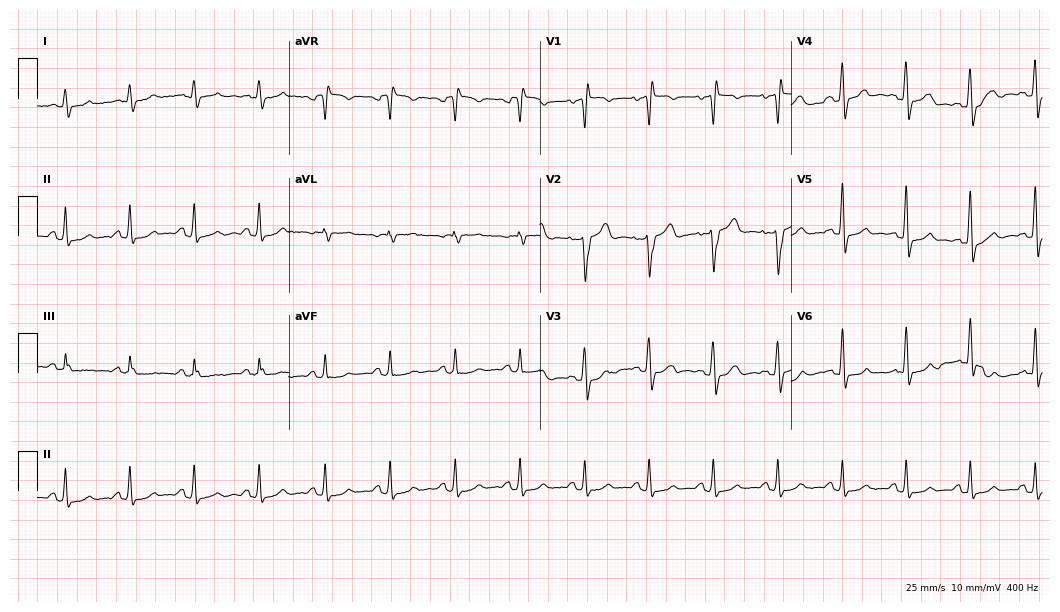
12-lead ECG from a 73-year-old male patient. No first-degree AV block, right bundle branch block (RBBB), left bundle branch block (LBBB), sinus bradycardia, atrial fibrillation (AF) or sinus tachycardia recorded for this tracing. Other findings, if any, are not listed.